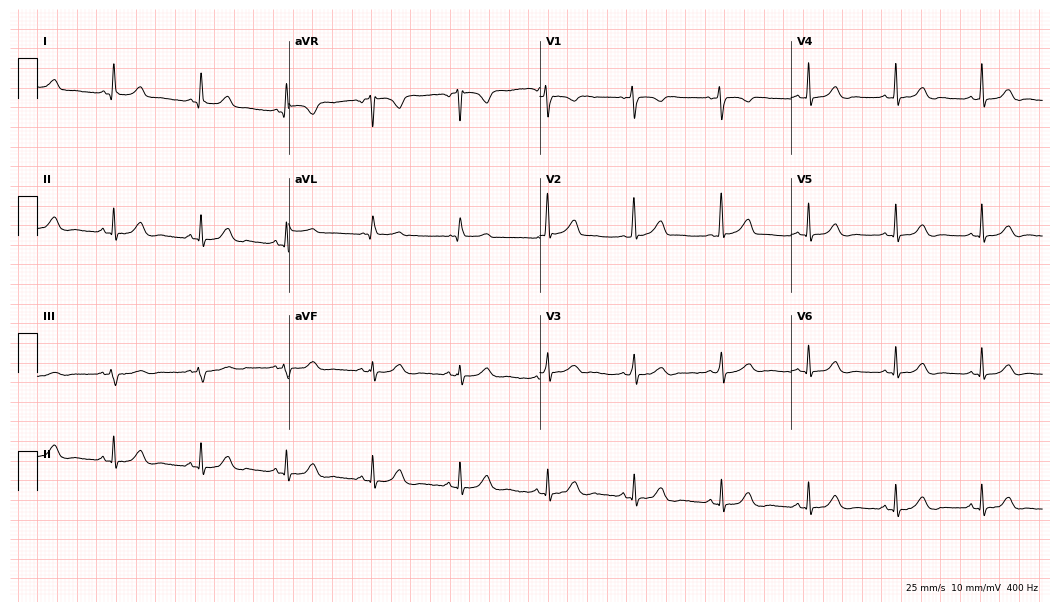
Electrocardiogram (10.2-second recording at 400 Hz), a 51-year-old female. Overall reading on record: normal ECG.